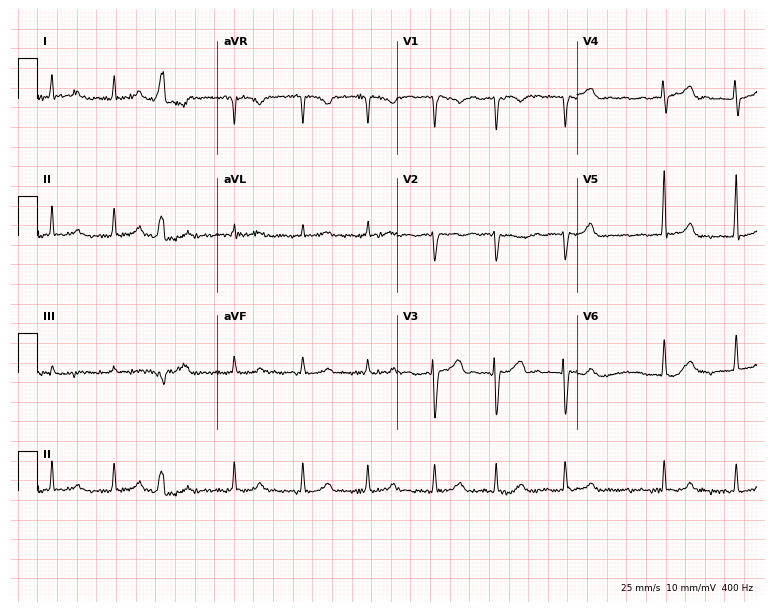
12-lead ECG from a 74-year-old female. No first-degree AV block, right bundle branch block, left bundle branch block, sinus bradycardia, atrial fibrillation or sinus tachycardia recorded for this tracing.